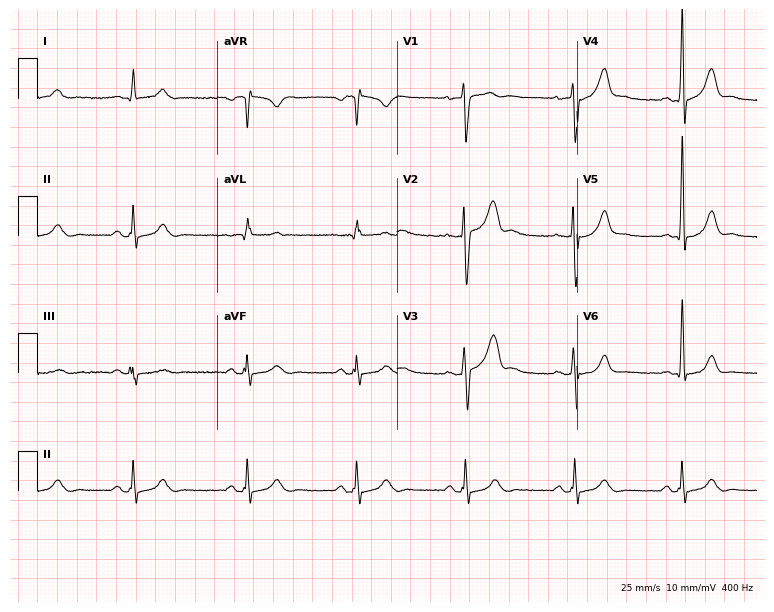
12-lead ECG from a 32-year-old male (7.3-second recording at 400 Hz). Recorded interpretation: within normal limits.